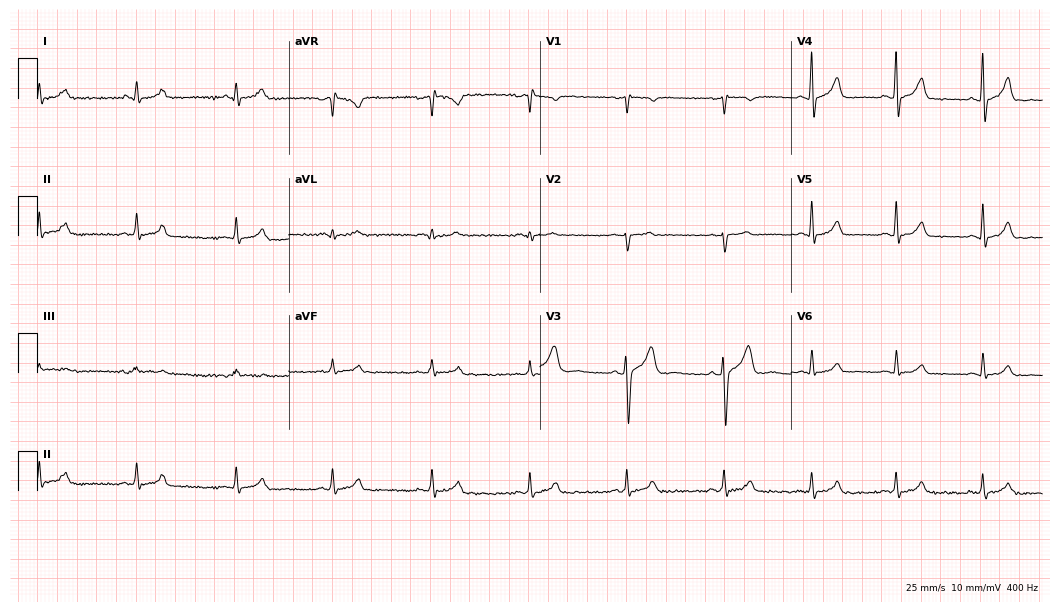
Resting 12-lead electrocardiogram. Patient: a 25-year-old male. Read as a normal ECG.